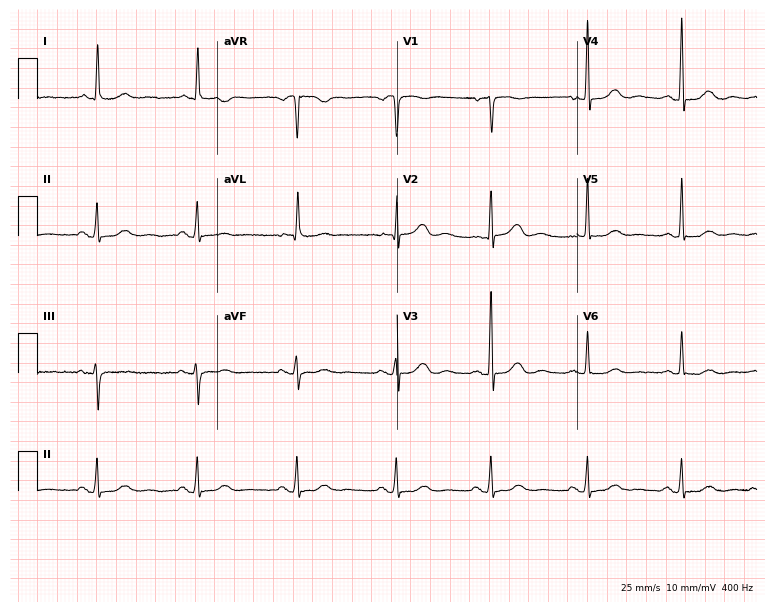
Standard 12-lead ECG recorded from a 65-year-old female (7.3-second recording at 400 Hz). Read as a normal ECG.